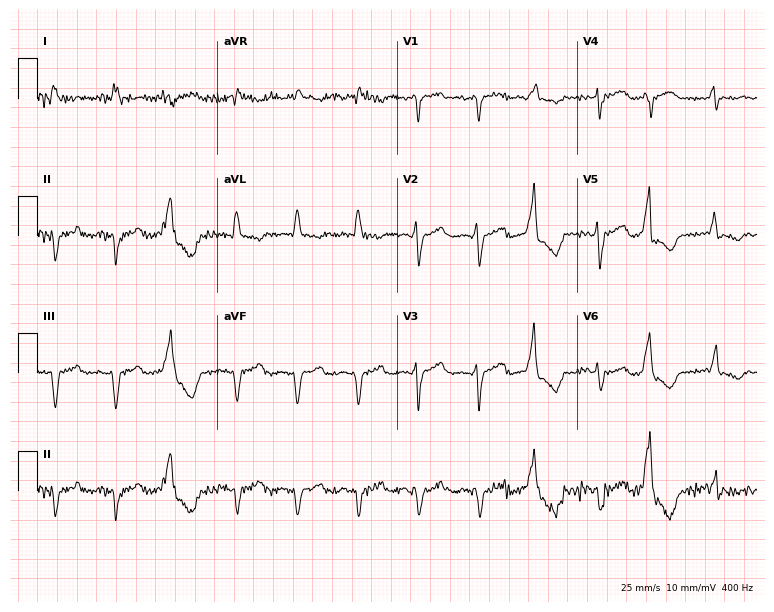
Standard 12-lead ECG recorded from an 81-year-old man. None of these six findings is recorded: first-degree AV block, right bundle branch block, left bundle branch block, sinus bradycardia, atrial fibrillation, sinus tachycardia.